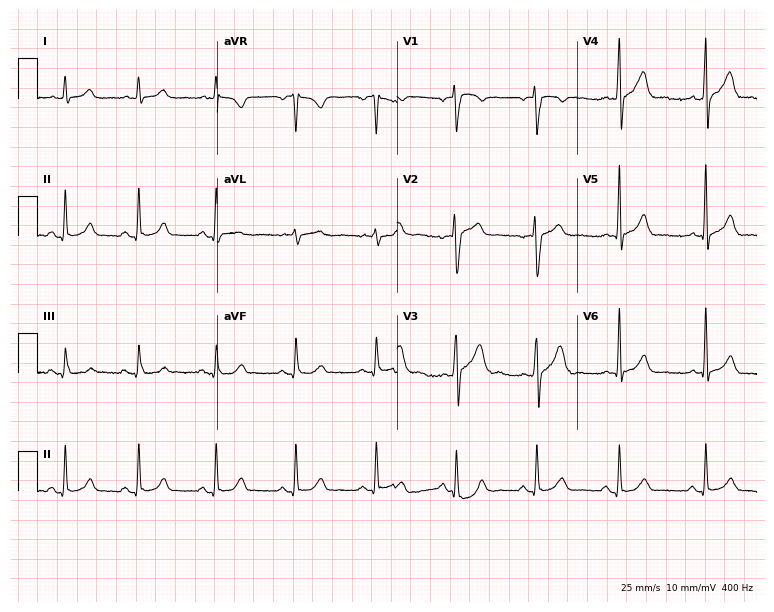
ECG — a man, 27 years old. Labelled as a normal ECG.